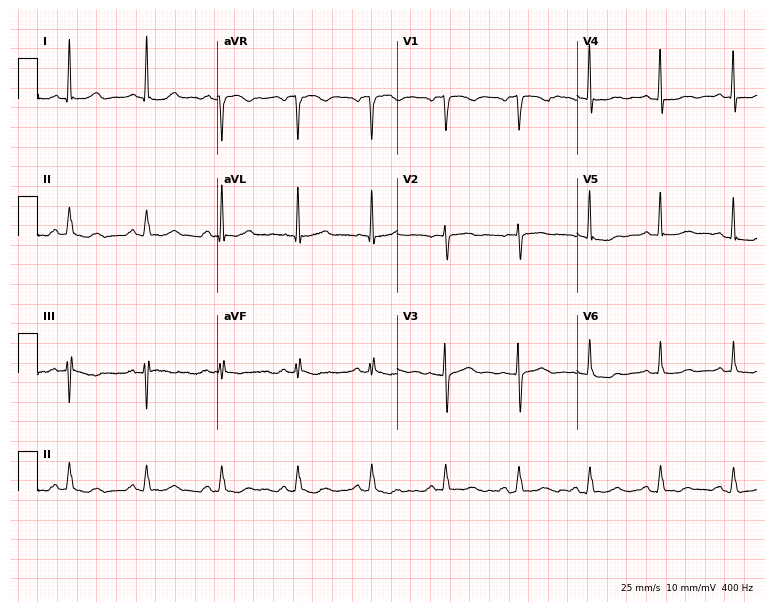
Resting 12-lead electrocardiogram (7.3-second recording at 400 Hz). Patient: a woman, 75 years old. Read as a normal ECG.